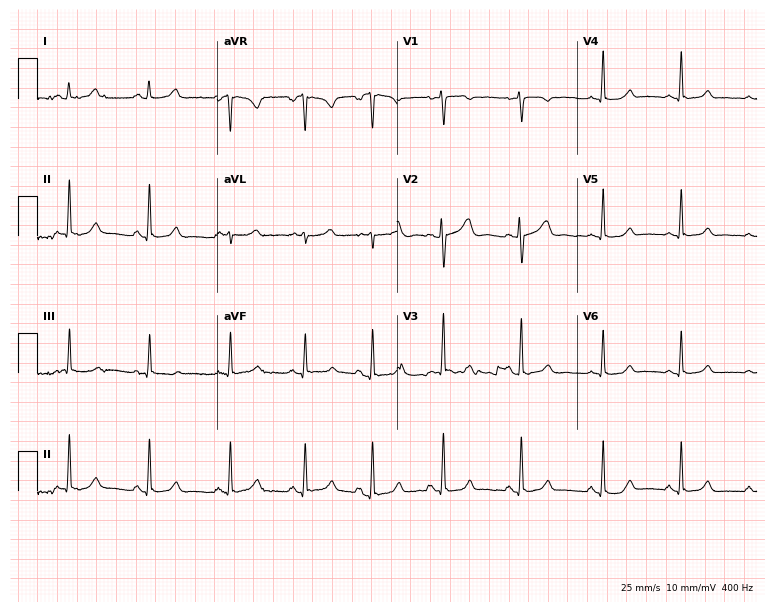
Standard 12-lead ECG recorded from a female patient, 23 years old. Read as a normal ECG.